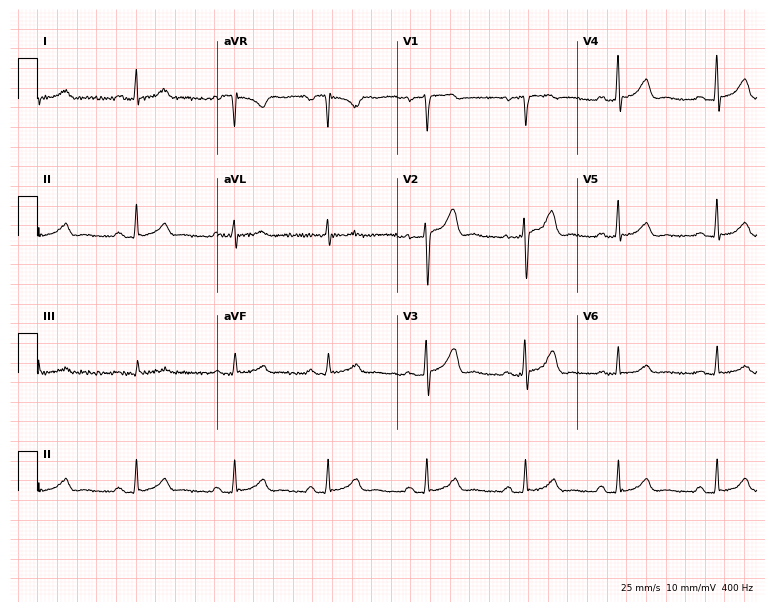
12-lead ECG from a woman, 50 years old (7.3-second recording at 400 Hz). Recorded interpretation: within normal limits.